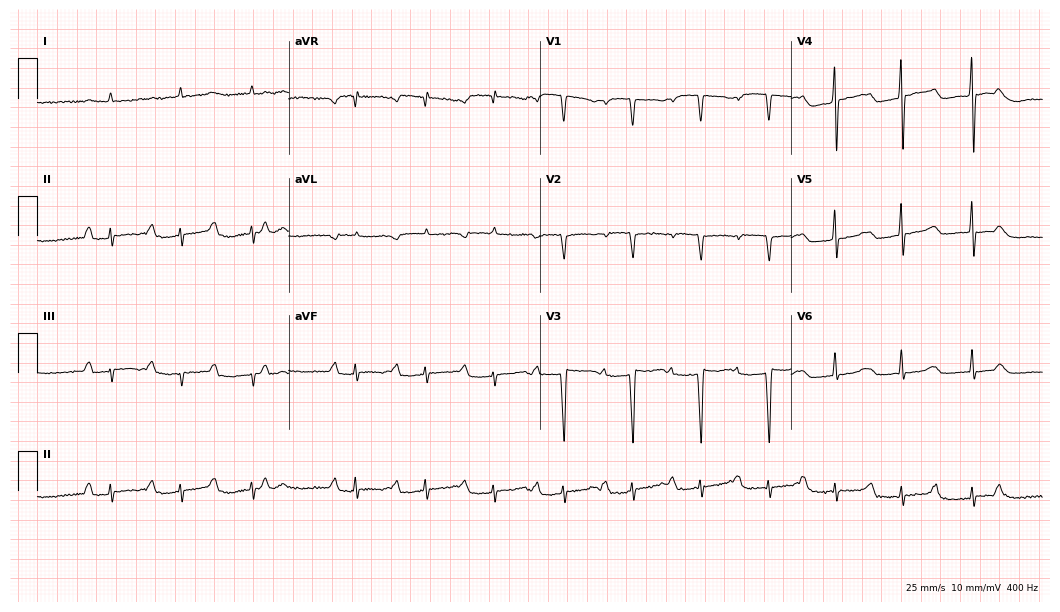
12-lead ECG from an 84-year-old female. No first-degree AV block, right bundle branch block, left bundle branch block, sinus bradycardia, atrial fibrillation or sinus tachycardia recorded for this tracing. Other findings, if any, are not listed.